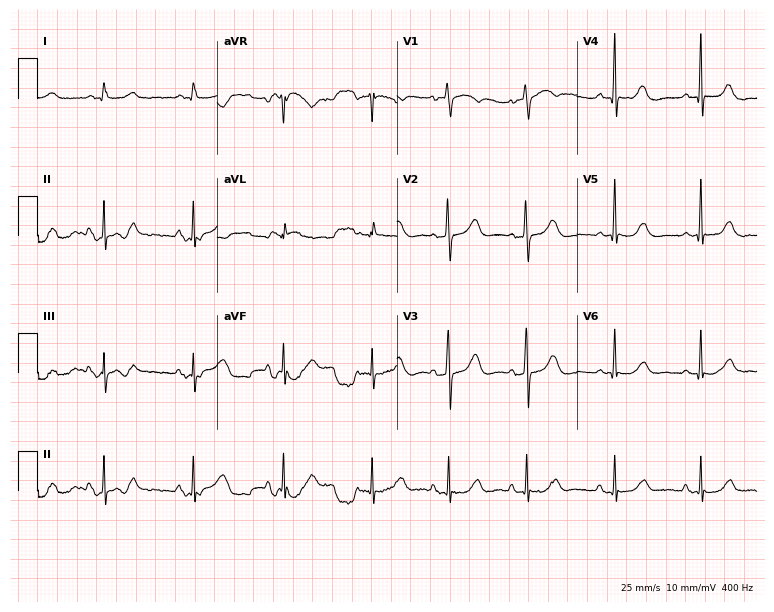
Standard 12-lead ECG recorded from a 72-year-old female patient. Read as a normal ECG.